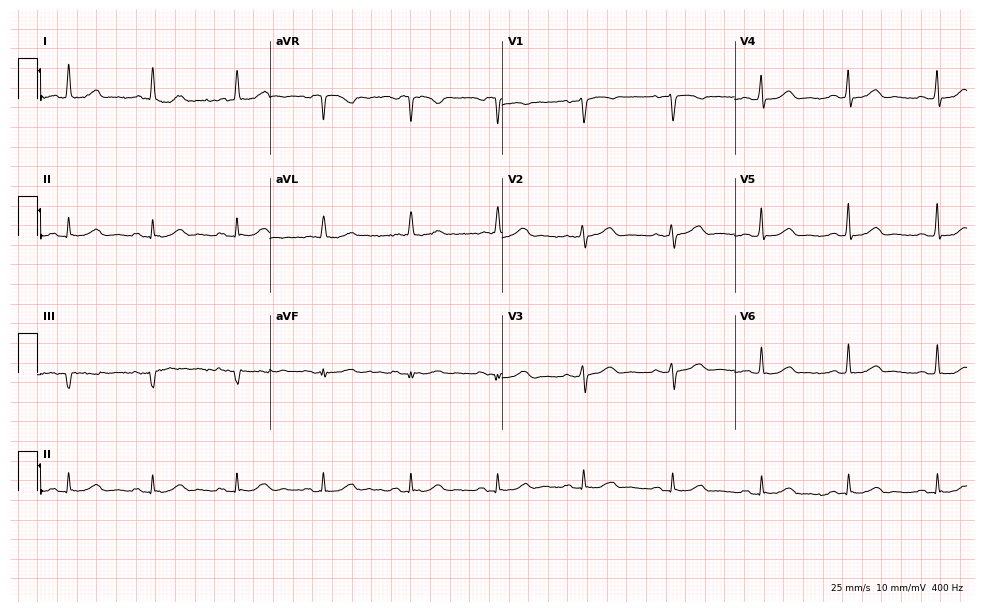
Electrocardiogram (9.5-second recording at 400 Hz), a 56-year-old female. Overall reading on record: normal ECG.